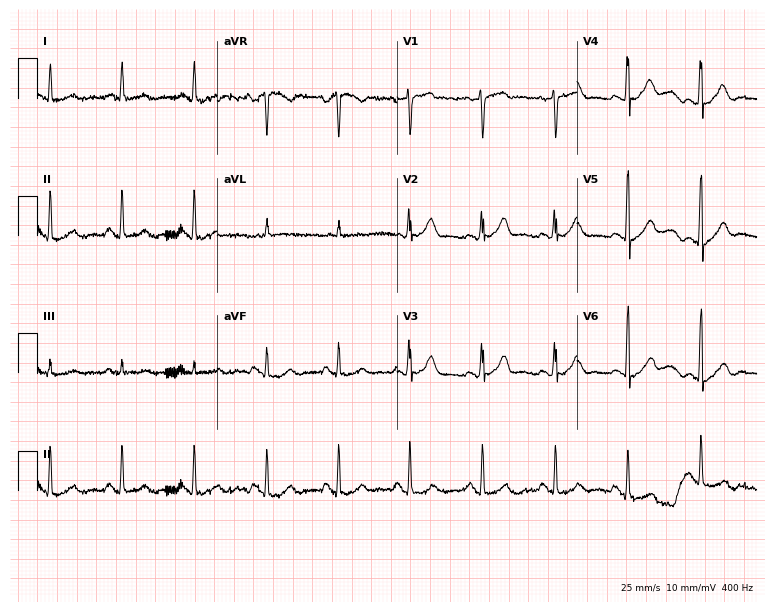
Electrocardiogram (7.3-second recording at 400 Hz), a male, 68 years old. Overall reading on record: normal ECG.